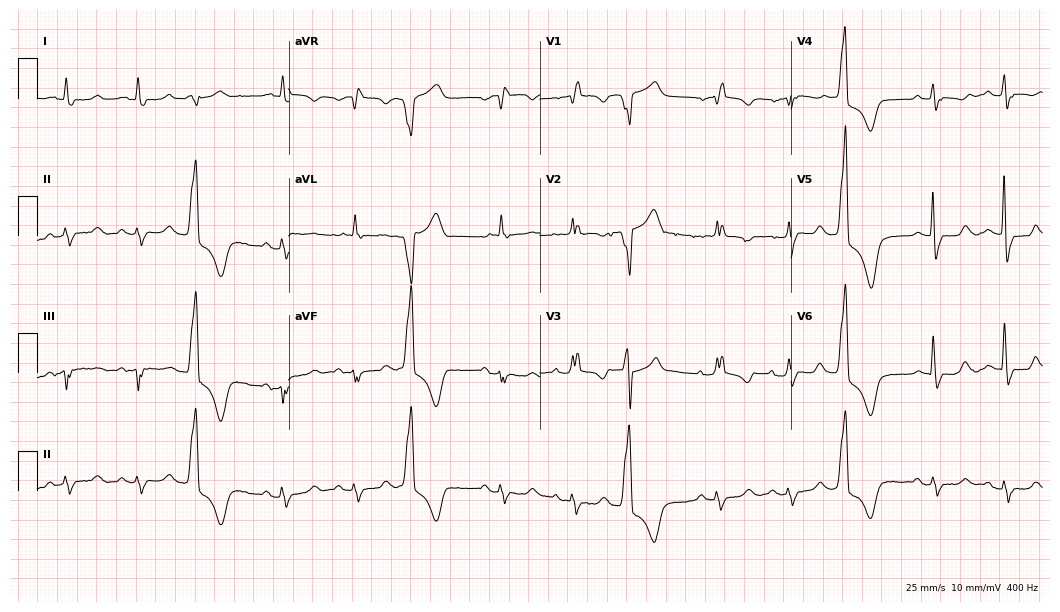
12-lead ECG from an 82-year-old female. Shows right bundle branch block.